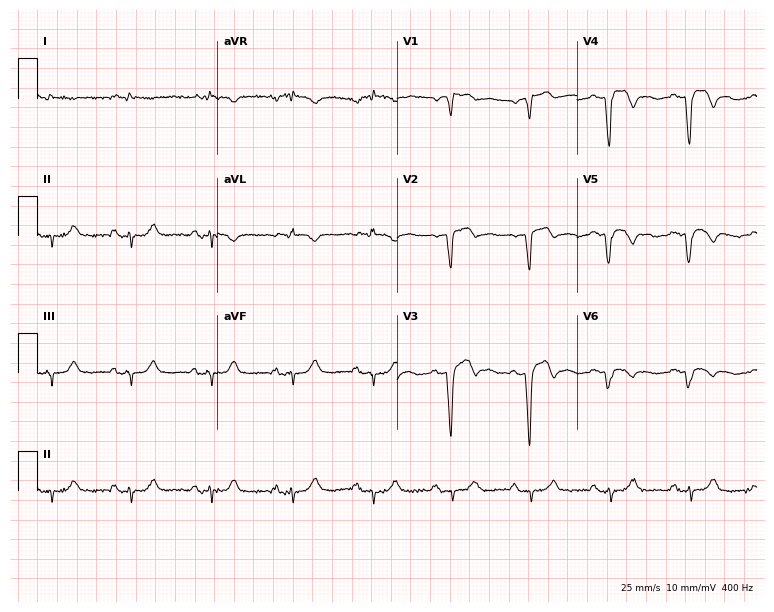
Standard 12-lead ECG recorded from a male, 66 years old. None of these six findings is recorded: first-degree AV block, right bundle branch block (RBBB), left bundle branch block (LBBB), sinus bradycardia, atrial fibrillation (AF), sinus tachycardia.